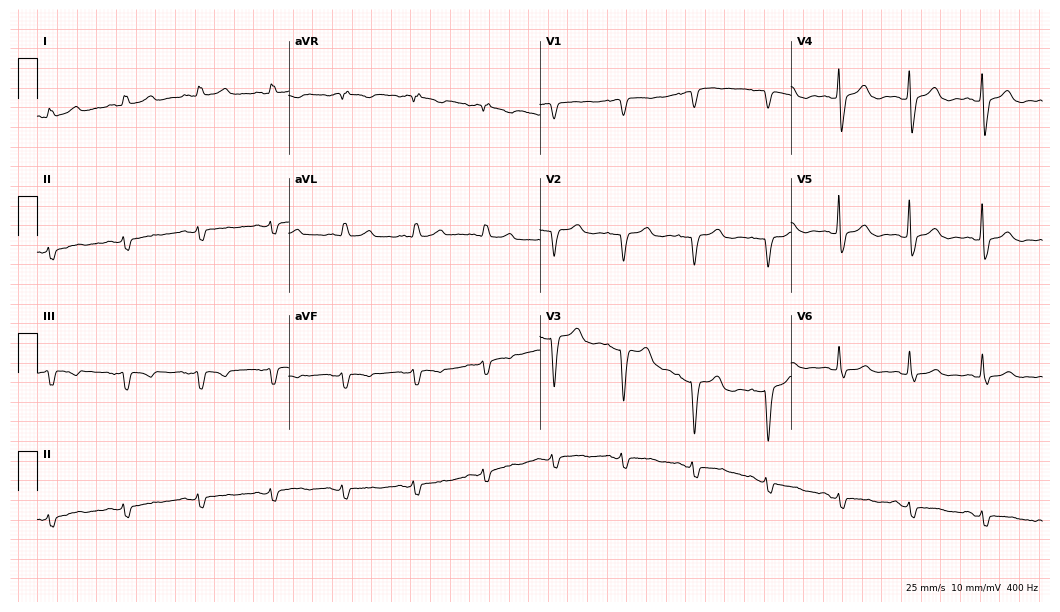
ECG (10.2-second recording at 400 Hz) — a woman, 58 years old. Screened for six findings — first-degree AV block, right bundle branch block, left bundle branch block, sinus bradycardia, atrial fibrillation, sinus tachycardia — none is recorded.